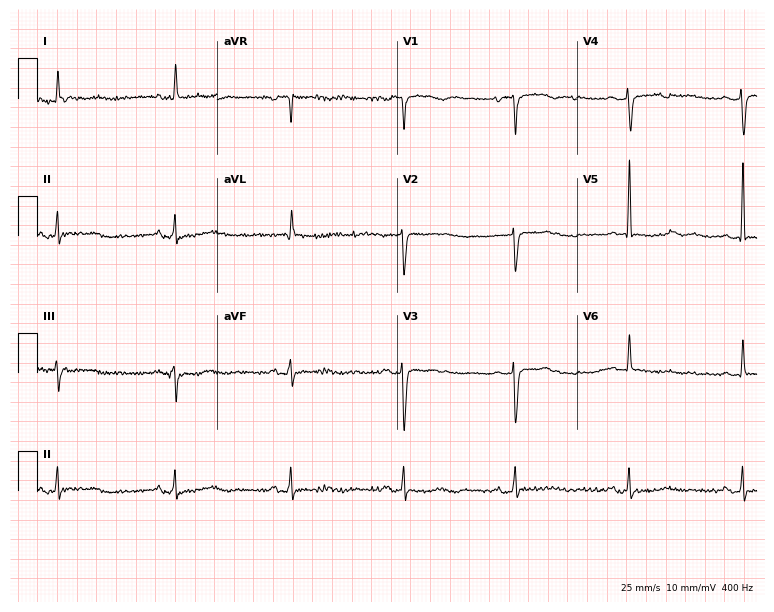
ECG (7.3-second recording at 400 Hz) — a woman, 76 years old. Screened for six findings — first-degree AV block, right bundle branch block, left bundle branch block, sinus bradycardia, atrial fibrillation, sinus tachycardia — none is recorded.